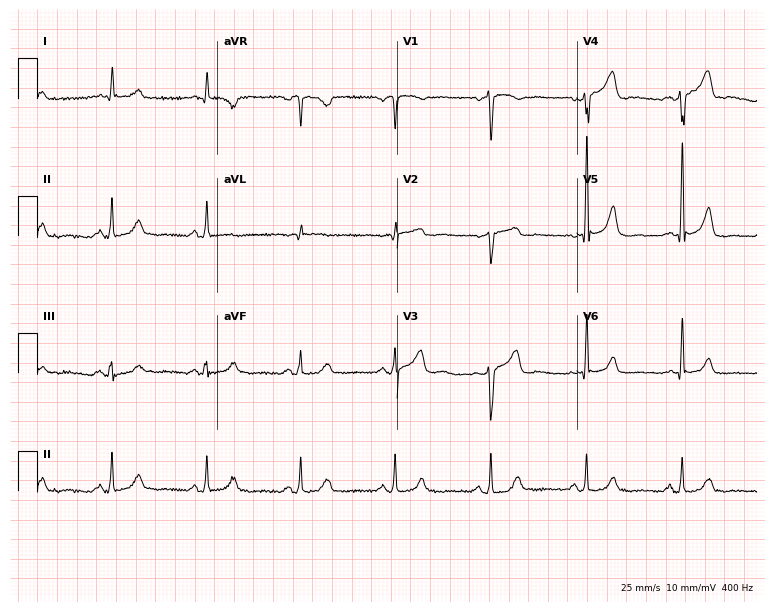
ECG (7.3-second recording at 400 Hz) — a 55-year-old male. Labelled as a normal ECG.